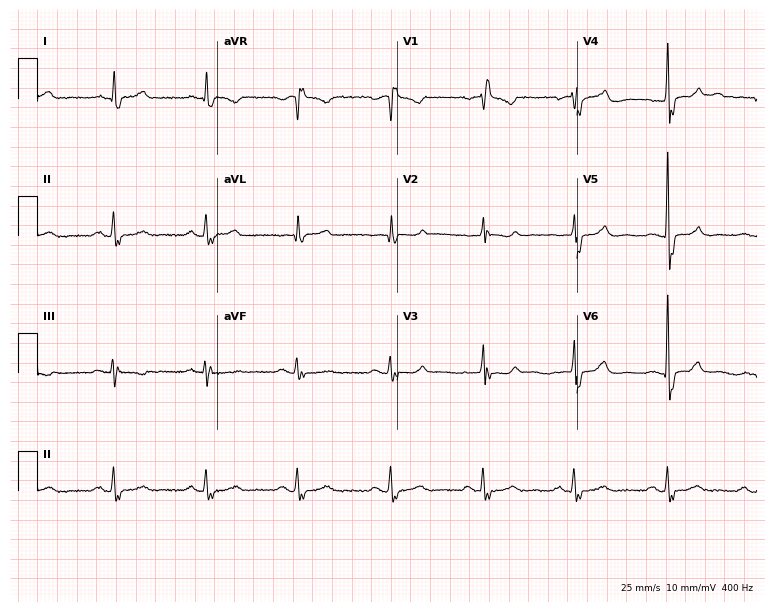
Resting 12-lead electrocardiogram. Patient: an 83-year-old woman. The tracing shows right bundle branch block (RBBB).